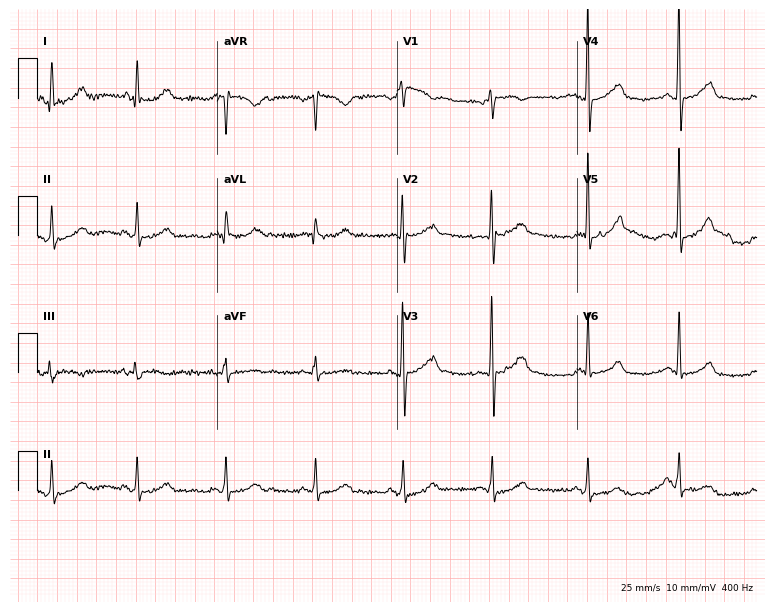
Standard 12-lead ECG recorded from a 48-year-old male. None of these six findings is recorded: first-degree AV block, right bundle branch block (RBBB), left bundle branch block (LBBB), sinus bradycardia, atrial fibrillation (AF), sinus tachycardia.